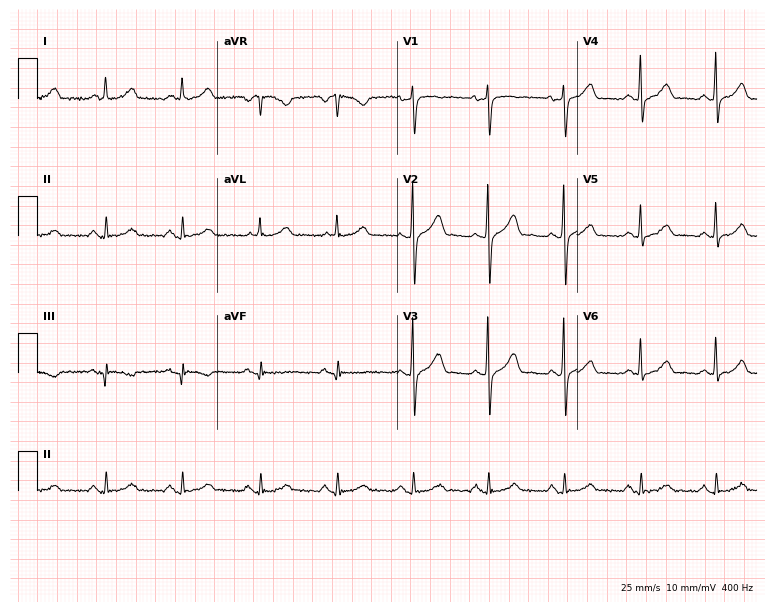
Standard 12-lead ECG recorded from a male patient, 59 years old (7.3-second recording at 400 Hz). Read as a normal ECG.